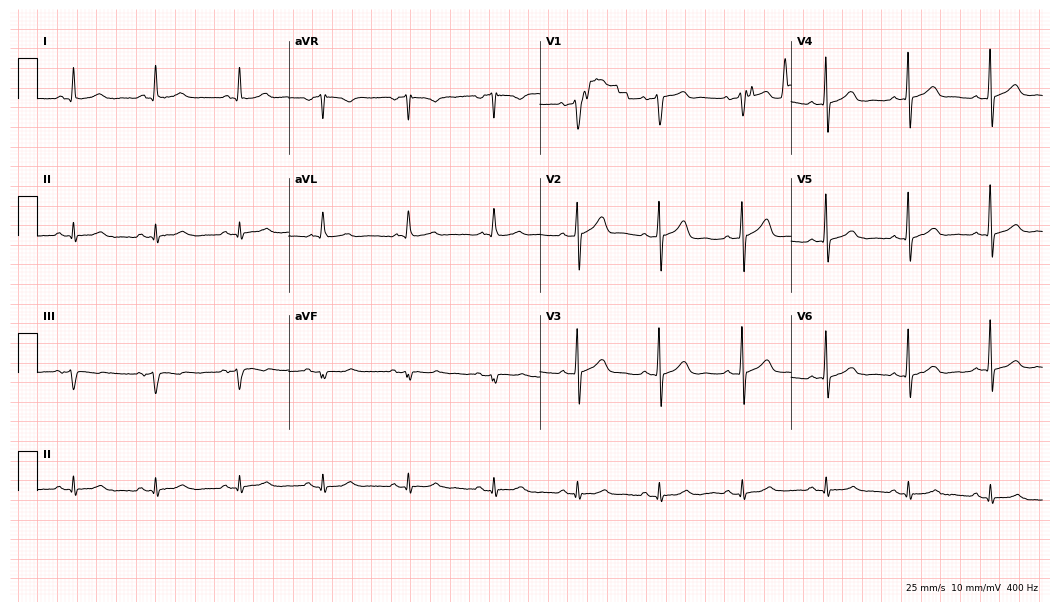
Electrocardiogram (10.2-second recording at 400 Hz), a male patient, 67 years old. Overall reading on record: normal ECG.